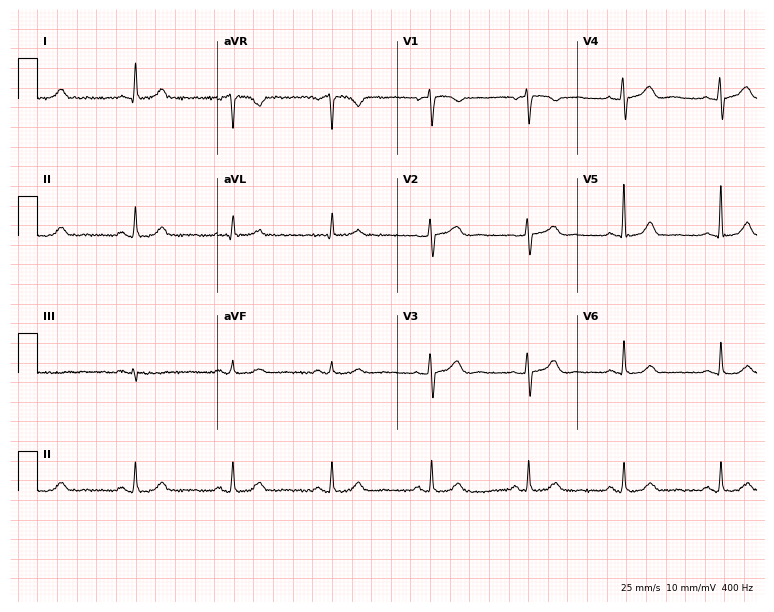
ECG (7.3-second recording at 400 Hz) — a 76-year-old female patient. Labelled as a normal ECG.